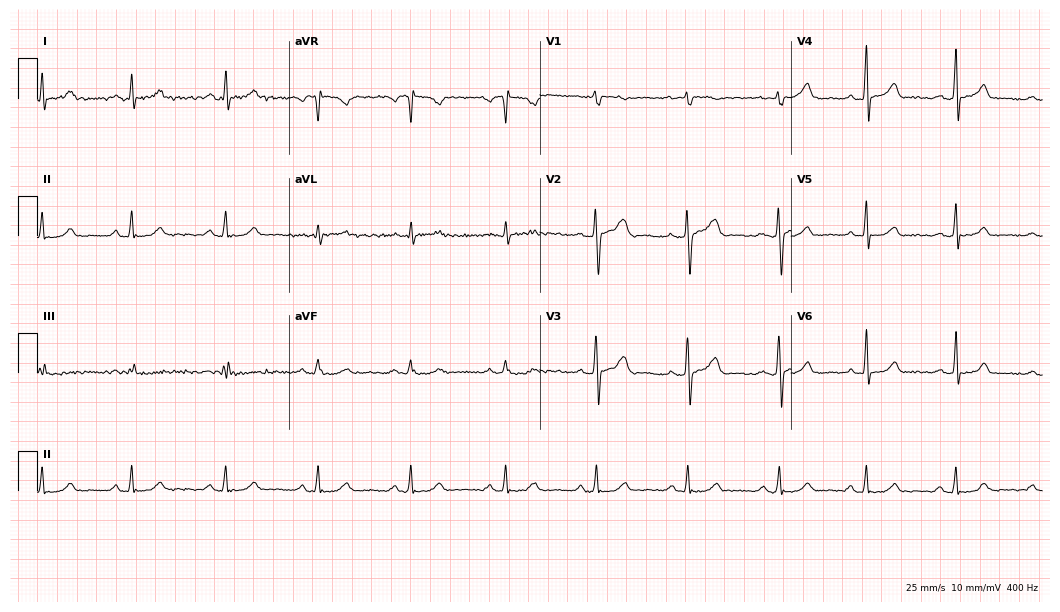
Electrocardiogram, a 40-year-old female patient. Overall reading on record: normal ECG.